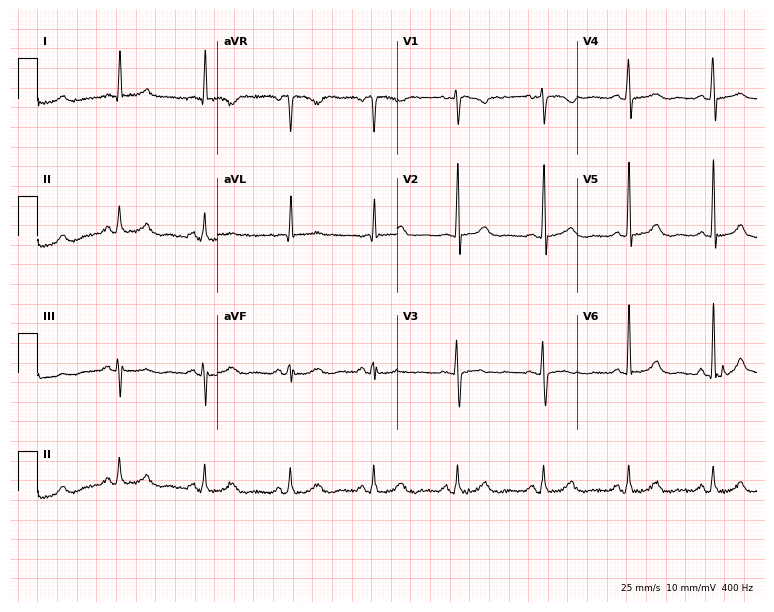
Resting 12-lead electrocardiogram. Patient: a 58-year-old female. Read as a normal ECG.